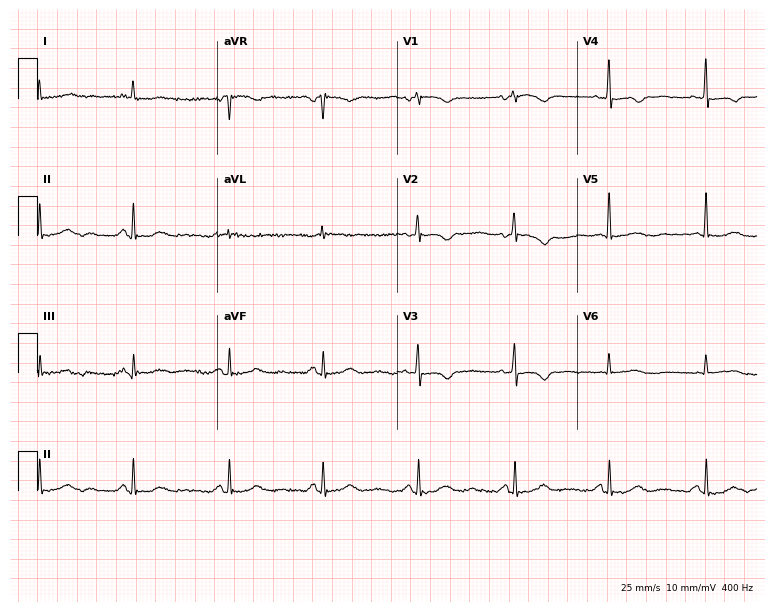
12-lead ECG from an 82-year-old male patient. Screened for six findings — first-degree AV block, right bundle branch block (RBBB), left bundle branch block (LBBB), sinus bradycardia, atrial fibrillation (AF), sinus tachycardia — none is recorded. Other findings, if any, are not listed.